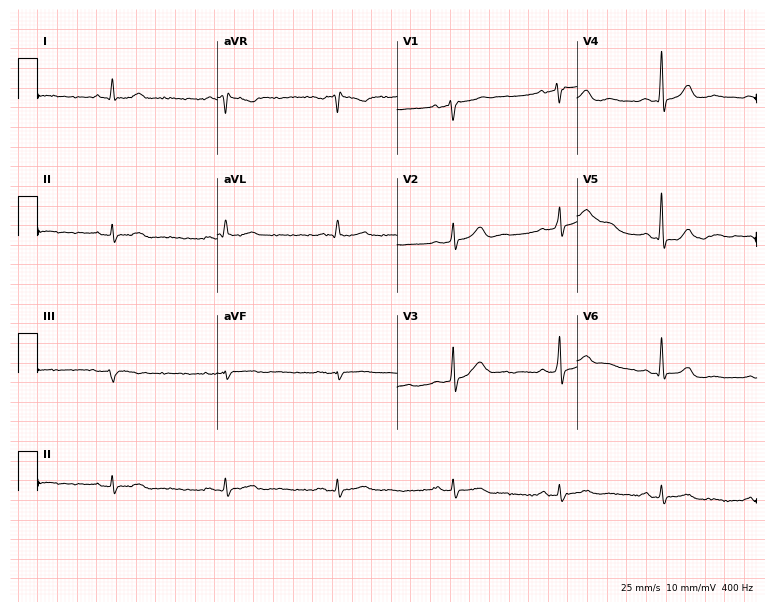
Standard 12-lead ECG recorded from an 82-year-old male. None of these six findings is recorded: first-degree AV block, right bundle branch block, left bundle branch block, sinus bradycardia, atrial fibrillation, sinus tachycardia. Only these six findings were labelled.